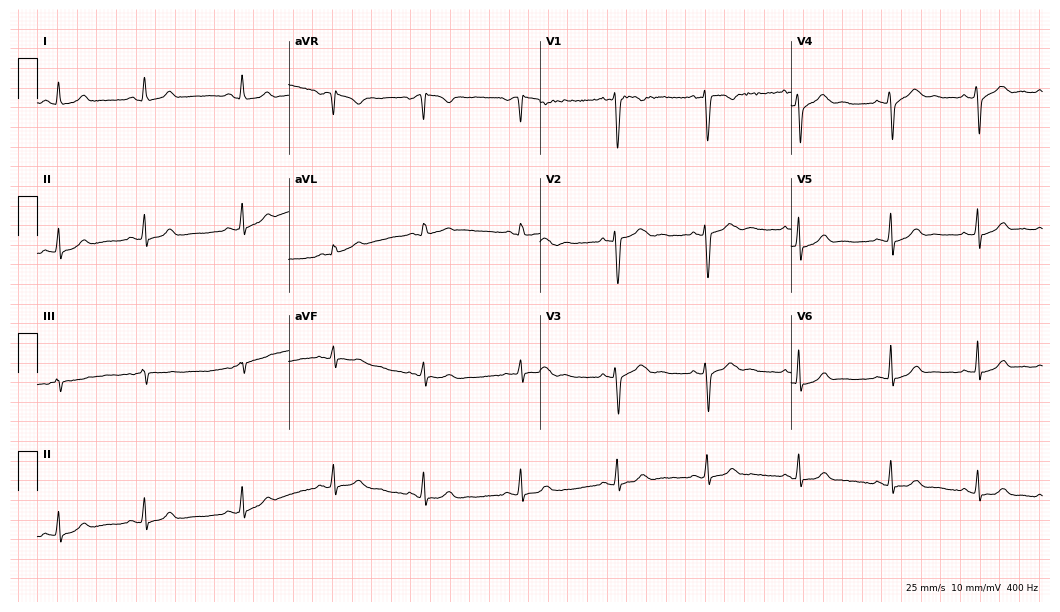
ECG — a female patient, 19 years old. Labelled as a normal ECG.